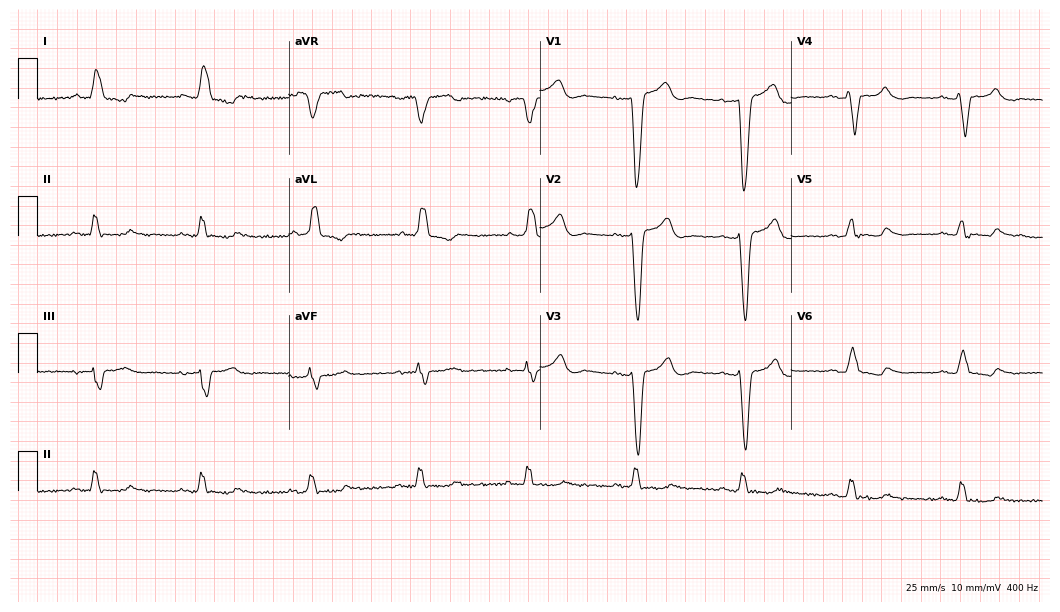
Standard 12-lead ECG recorded from an 82-year-old female (10.2-second recording at 400 Hz). The tracing shows left bundle branch block (LBBB).